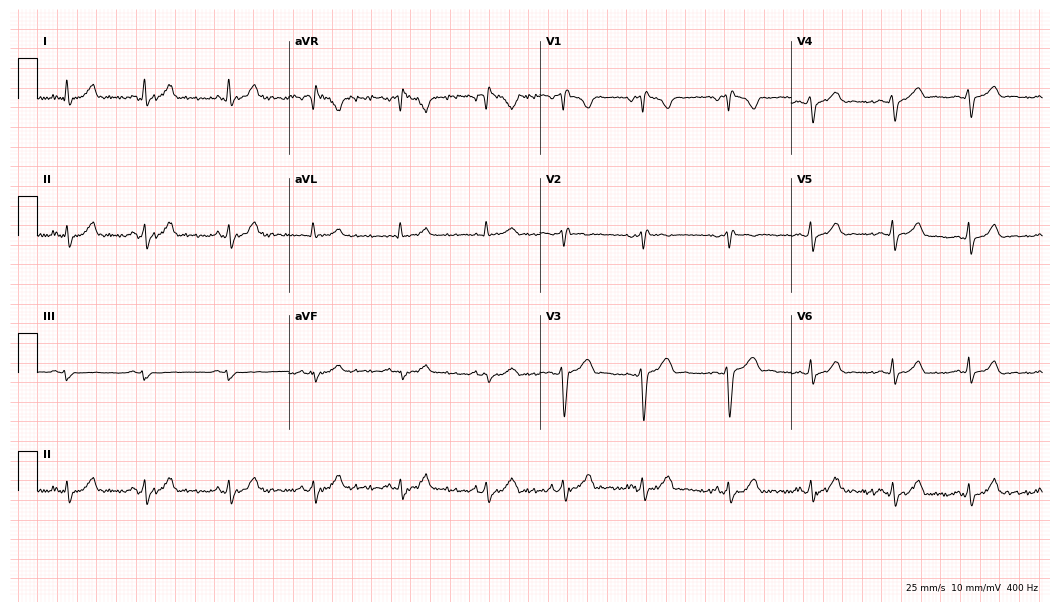
12-lead ECG from a 22-year-old female. No first-degree AV block, right bundle branch block (RBBB), left bundle branch block (LBBB), sinus bradycardia, atrial fibrillation (AF) or sinus tachycardia recorded for this tracing. Findings outside these six are not listed.